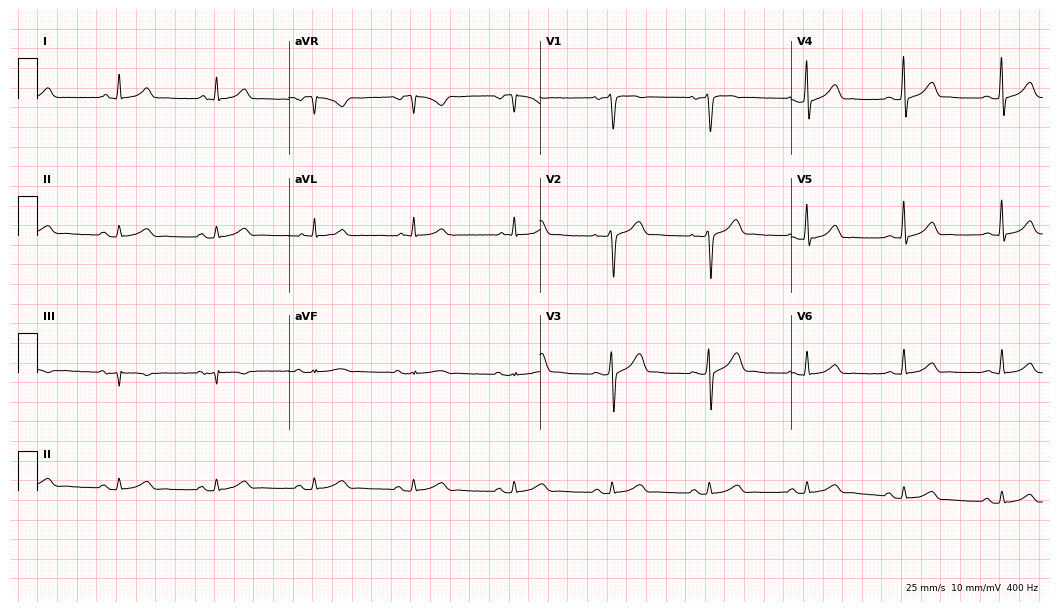
Electrocardiogram (10.2-second recording at 400 Hz), a 44-year-old male patient. Overall reading on record: normal ECG.